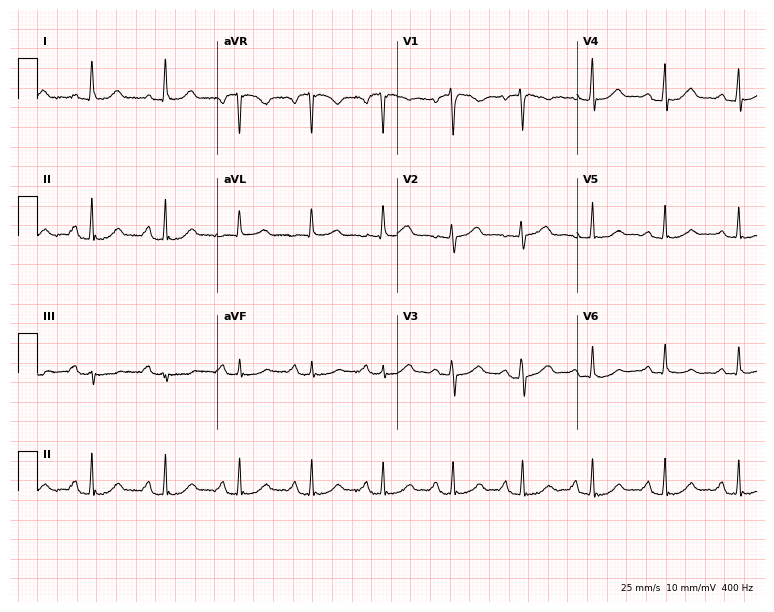
12-lead ECG from a 51-year-old female patient. Labelled as a normal ECG.